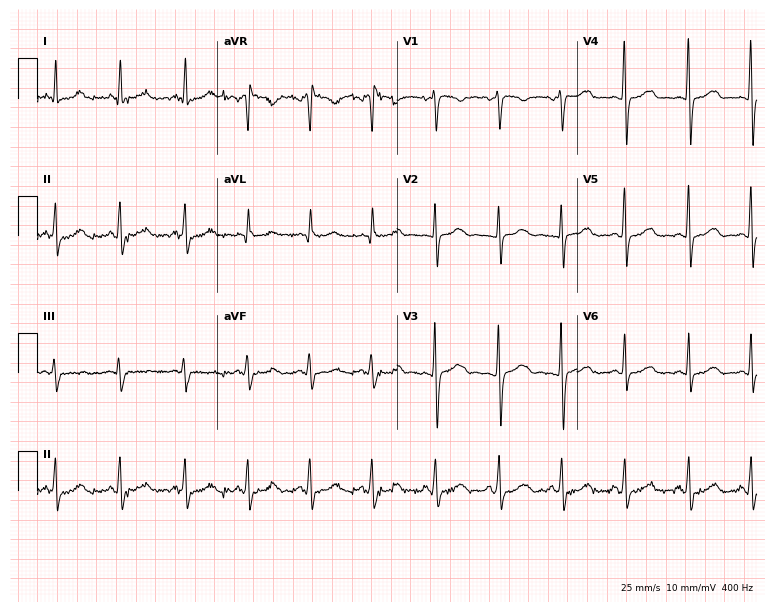
Electrocardiogram, a female, 33 years old. Overall reading on record: normal ECG.